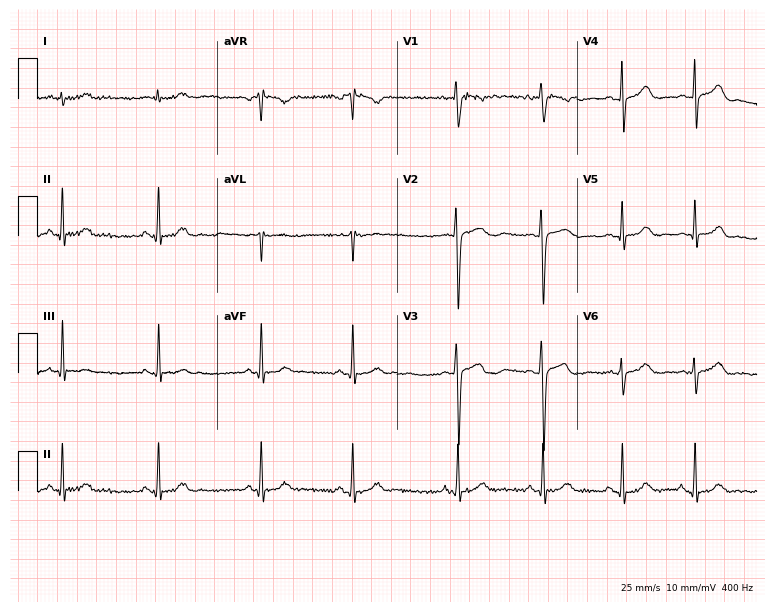
ECG — an 18-year-old female. Labelled as a normal ECG.